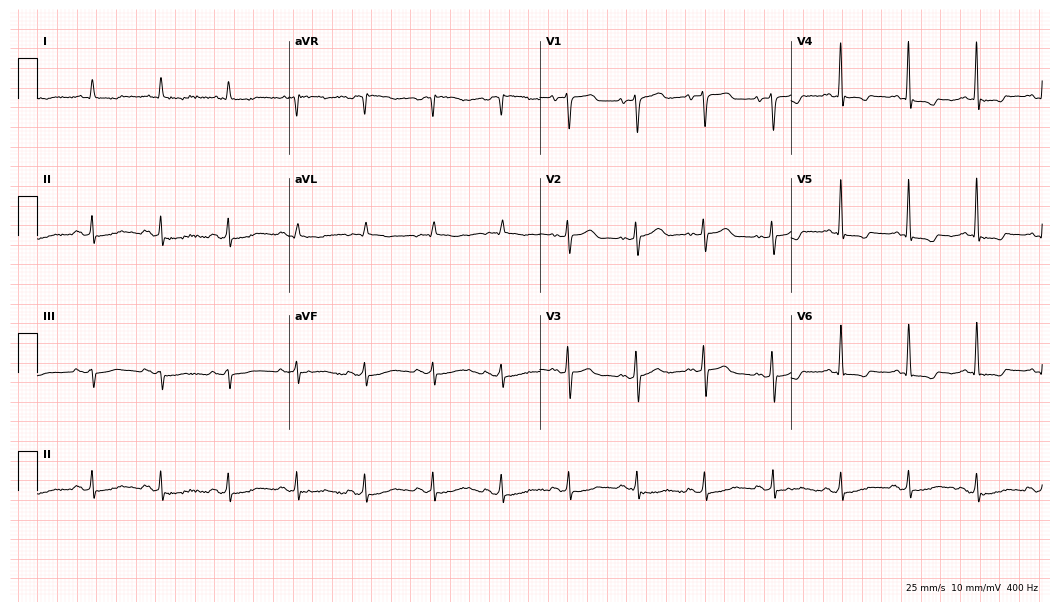
Electrocardiogram (10.2-second recording at 400 Hz), a woman, 82 years old. Of the six screened findings (first-degree AV block, right bundle branch block (RBBB), left bundle branch block (LBBB), sinus bradycardia, atrial fibrillation (AF), sinus tachycardia), none is recorded.